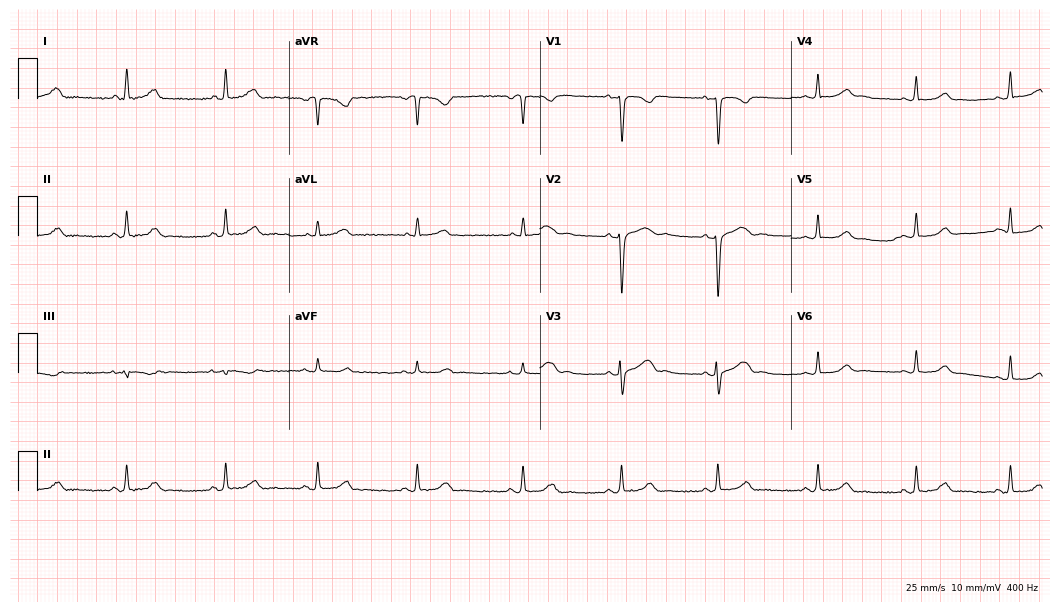
Resting 12-lead electrocardiogram (10.2-second recording at 400 Hz). Patient: a woman, 25 years old. None of these six findings is recorded: first-degree AV block, right bundle branch block (RBBB), left bundle branch block (LBBB), sinus bradycardia, atrial fibrillation (AF), sinus tachycardia. Other findings, if any, are not listed.